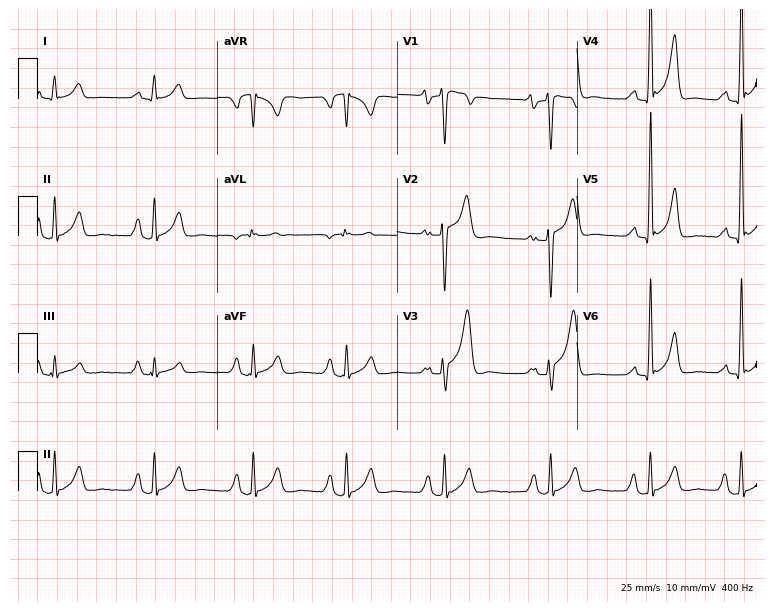
Resting 12-lead electrocardiogram (7.3-second recording at 400 Hz). Patient: a male, 20 years old. None of these six findings is recorded: first-degree AV block, right bundle branch block, left bundle branch block, sinus bradycardia, atrial fibrillation, sinus tachycardia.